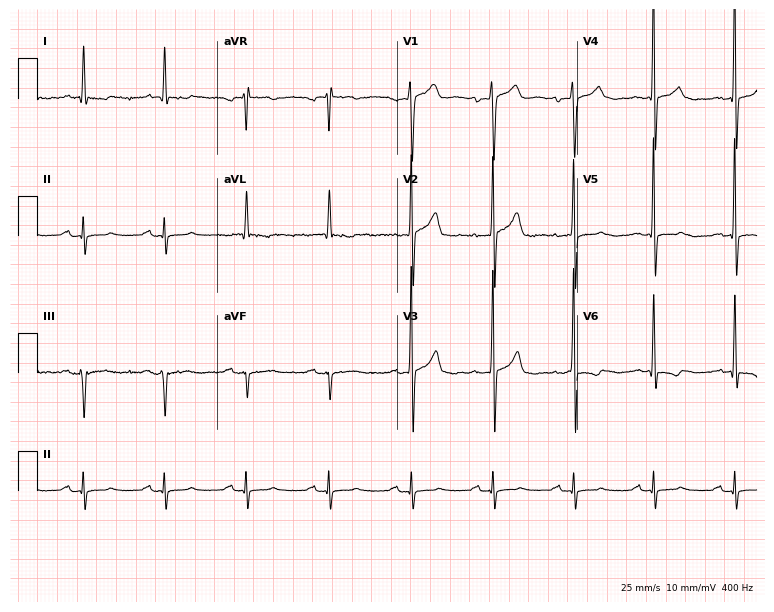
12-lead ECG from a 55-year-old male (7.3-second recording at 400 Hz). No first-degree AV block, right bundle branch block, left bundle branch block, sinus bradycardia, atrial fibrillation or sinus tachycardia recorded for this tracing. Findings outside these six are not listed.